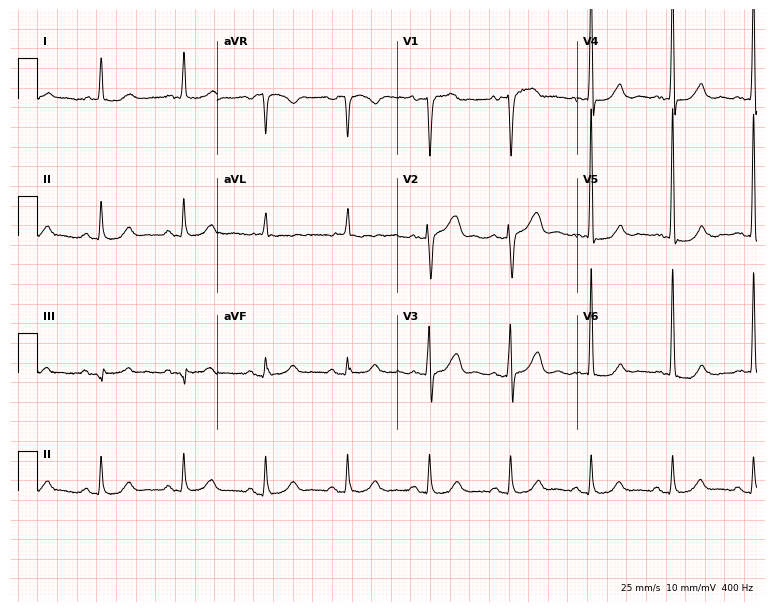
12-lead ECG (7.3-second recording at 400 Hz) from a male patient, 68 years old. Screened for six findings — first-degree AV block, right bundle branch block (RBBB), left bundle branch block (LBBB), sinus bradycardia, atrial fibrillation (AF), sinus tachycardia — none is recorded. Findings outside these six are not listed.